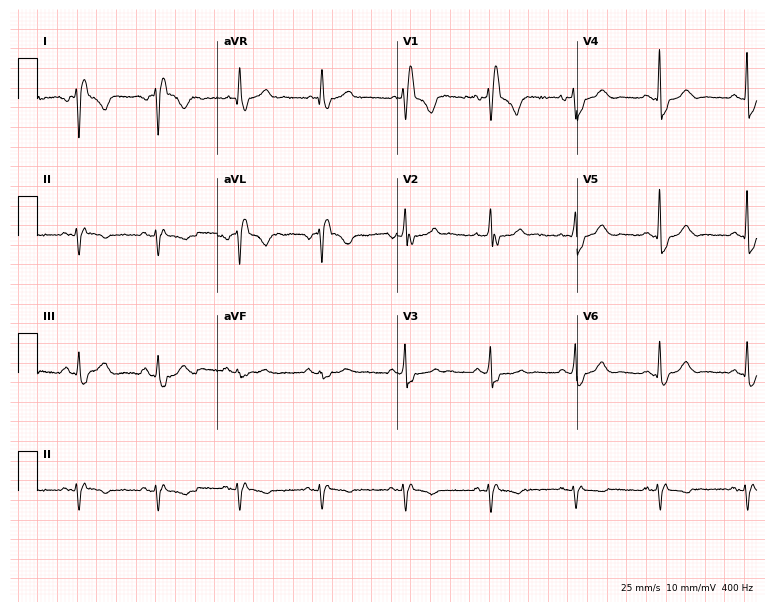
ECG — a woman, 47 years old. Screened for six findings — first-degree AV block, right bundle branch block, left bundle branch block, sinus bradycardia, atrial fibrillation, sinus tachycardia — none is recorded. Findings outside these six are not listed.